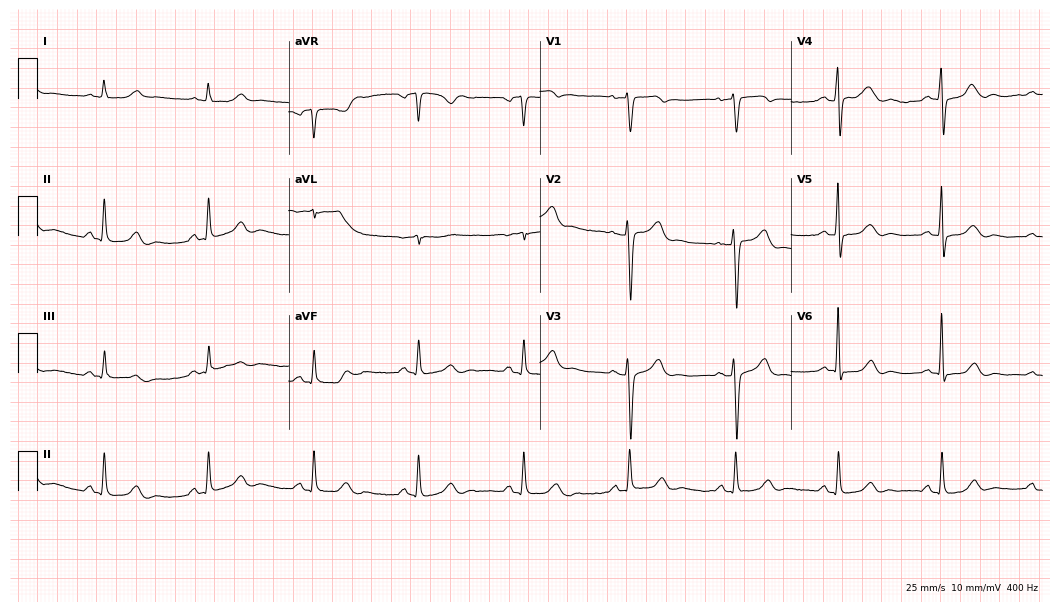
12-lead ECG from a woman, 55 years old. Recorded interpretation: within normal limits.